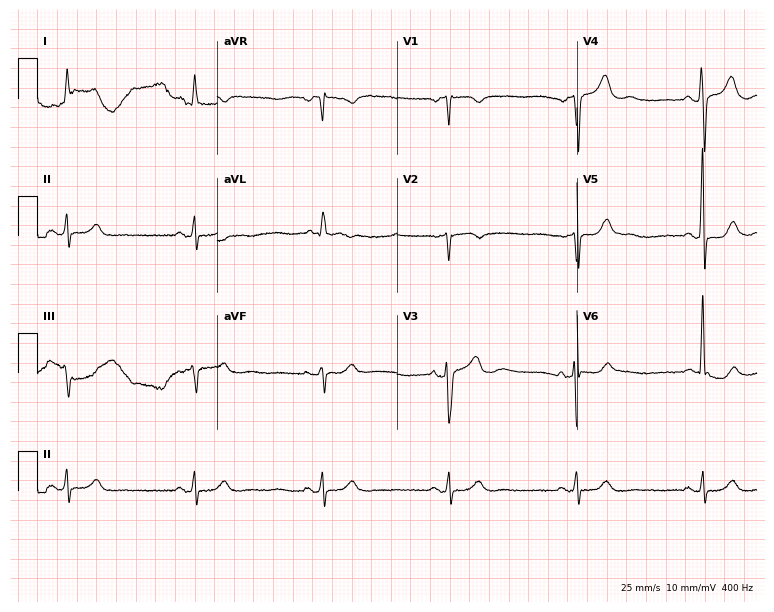
Electrocardiogram, a man, 71 years old. Of the six screened findings (first-degree AV block, right bundle branch block, left bundle branch block, sinus bradycardia, atrial fibrillation, sinus tachycardia), none is recorded. Findings outside these six are not listed.